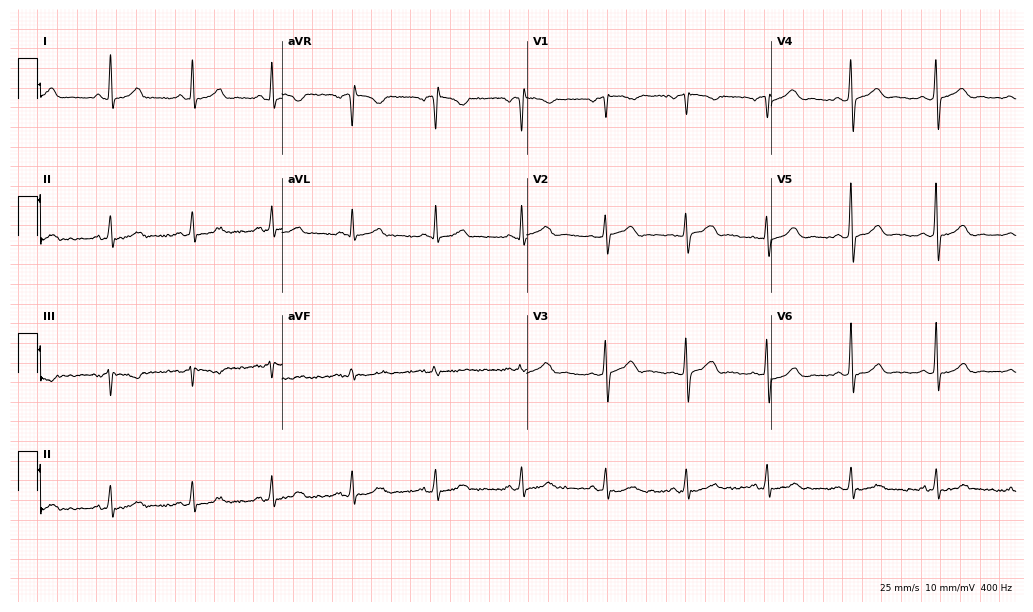
Electrocardiogram, a 46-year-old female. Overall reading on record: normal ECG.